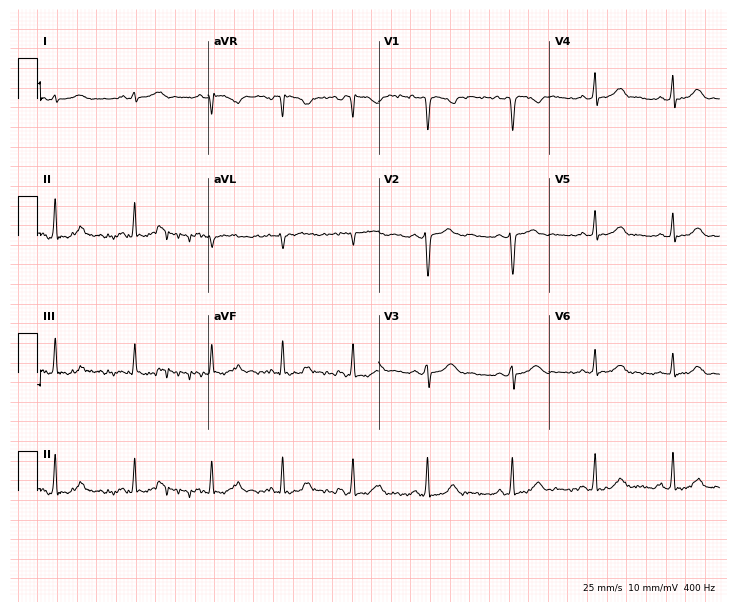
12-lead ECG from a female patient, 22 years old. Screened for six findings — first-degree AV block, right bundle branch block (RBBB), left bundle branch block (LBBB), sinus bradycardia, atrial fibrillation (AF), sinus tachycardia — none is recorded. Findings outside these six are not listed.